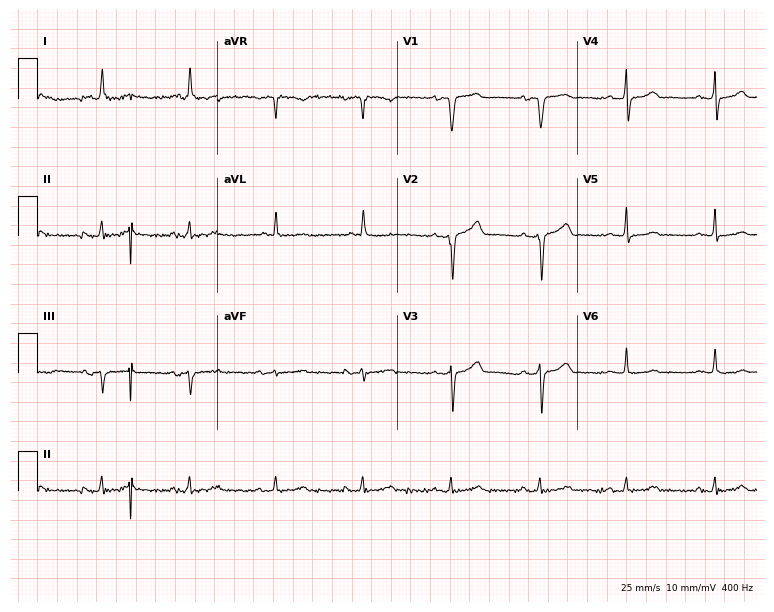
Standard 12-lead ECG recorded from a 72-year-old female patient (7.3-second recording at 400 Hz). None of these six findings is recorded: first-degree AV block, right bundle branch block (RBBB), left bundle branch block (LBBB), sinus bradycardia, atrial fibrillation (AF), sinus tachycardia. Findings outside these six are not listed.